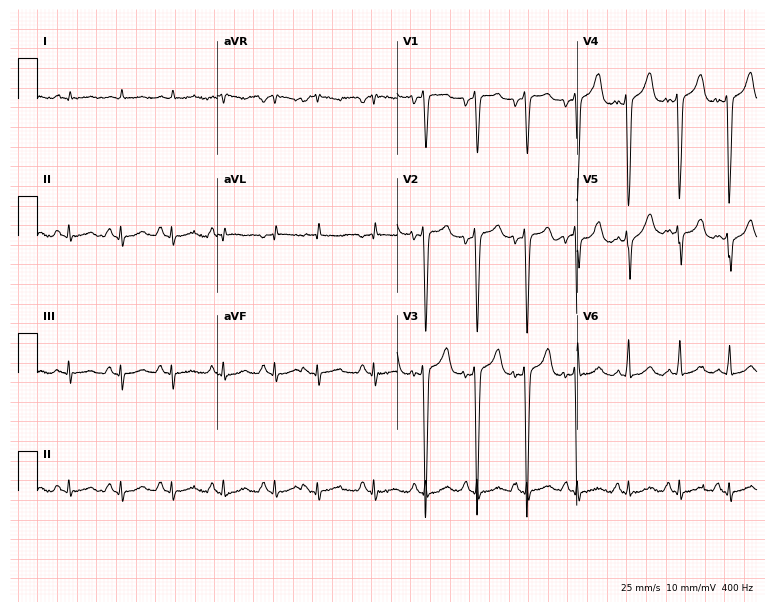
12-lead ECG from a man, 76 years old. Findings include sinus tachycardia (a sinus rate of 100 beats per minute or more).